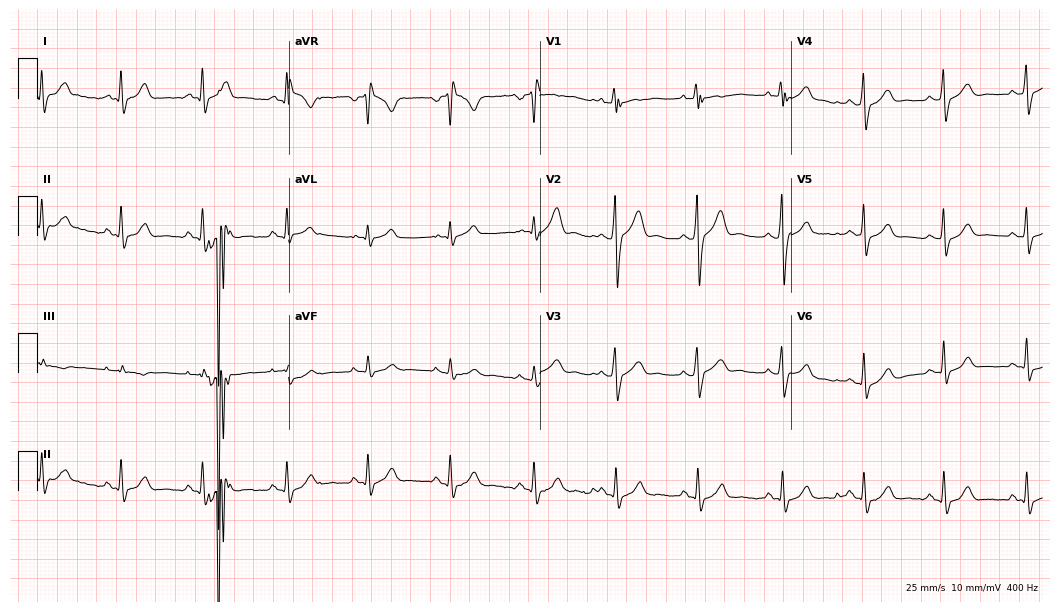
ECG (10.2-second recording at 400 Hz) — a man, 24 years old. Screened for six findings — first-degree AV block, right bundle branch block, left bundle branch block, sinus bradycardia, atrial fibrillation, sinus tachycardia — none is recorded.